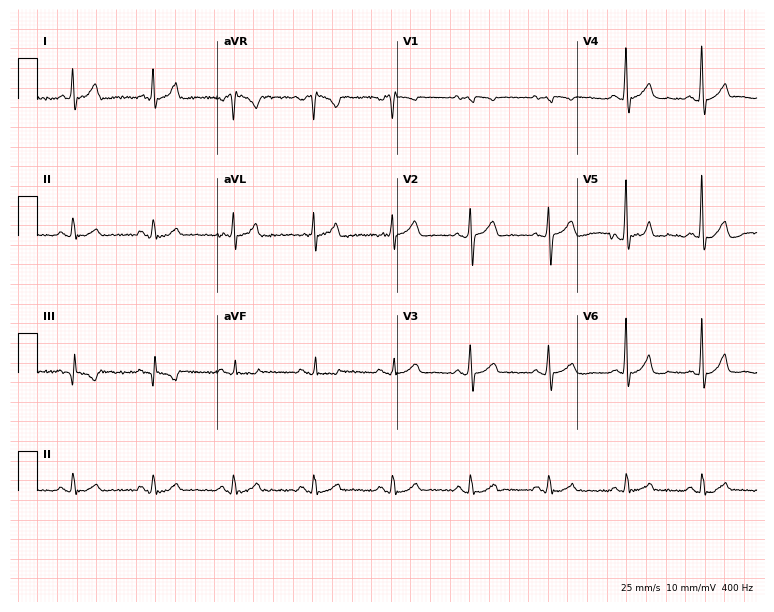
12-lead ECG from a man, 75 years old. Screened for six findings — first-degree AV block, right bundle branch block (RBBB), left bundle branch block (LBBB), sinus bradycardia, atrial fibrillation (AF), sinus tachycardia — none is recorded.